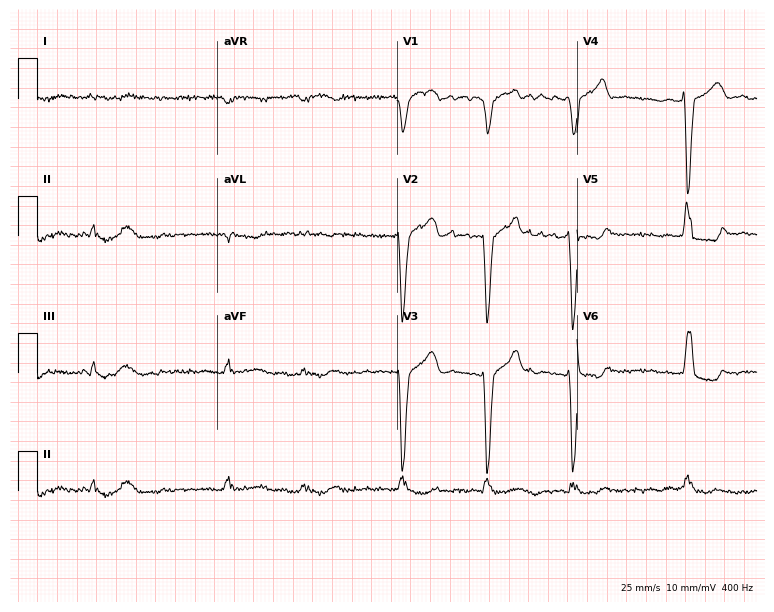
ECG — a man, 80 years old. Findings include left bundle branch block (LBBB), atrial fibrillation (AF).